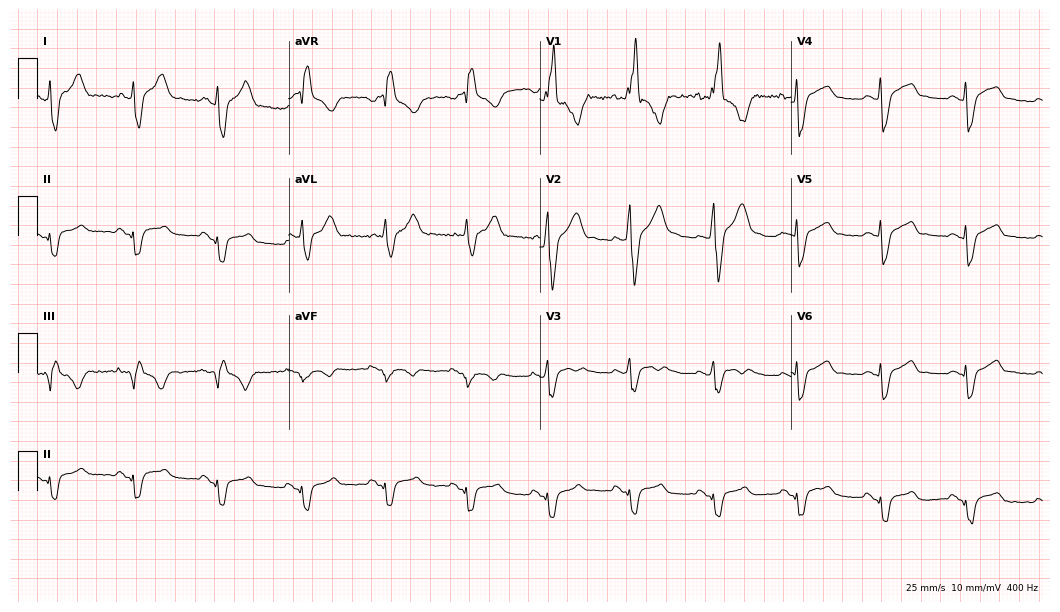
12-lead ECG from a male patient, 36 years old. Findings include right bundle branch block.